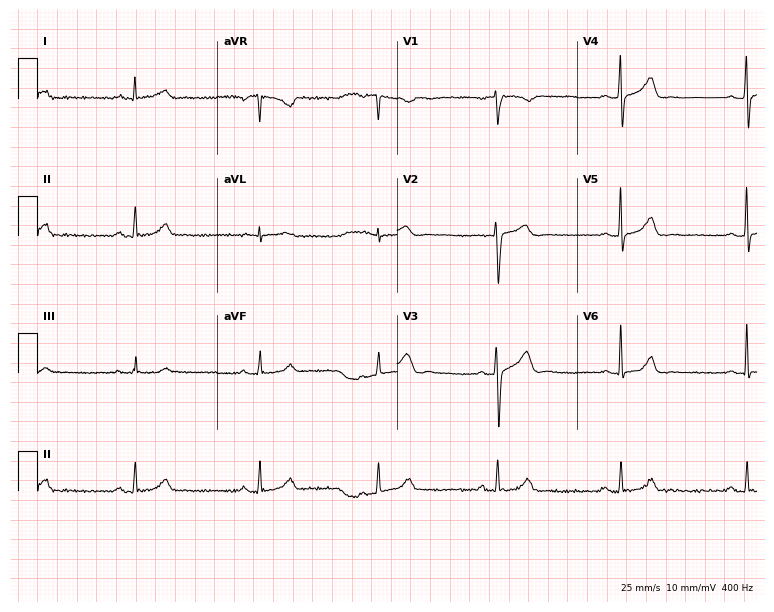
ECG (7.3-second recording at 400 Hz) — a male patient, 49 years old. Findings include sinus bradycardia (a sinus rate of 50 beats per minute or less).